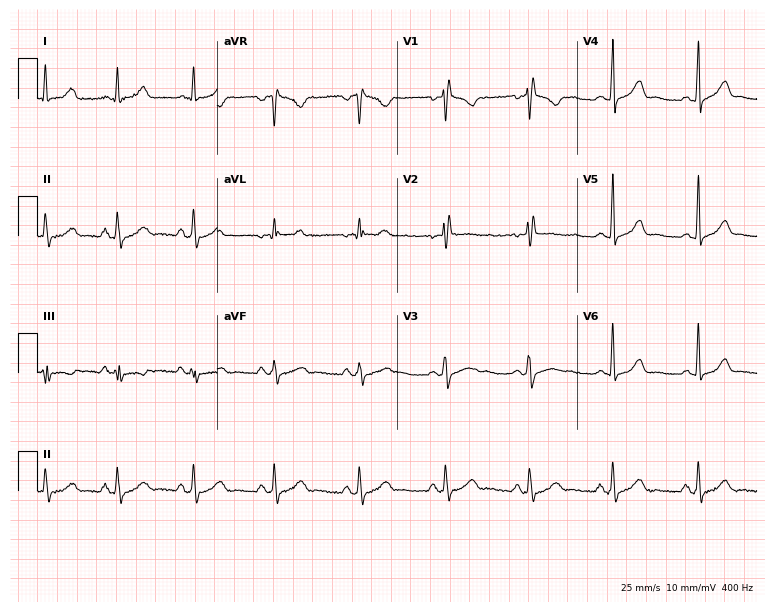
12-lead ECG (7.3-second recording at 400 Hz) from a 32-year-old female patient. Labelled as a normal ECG.